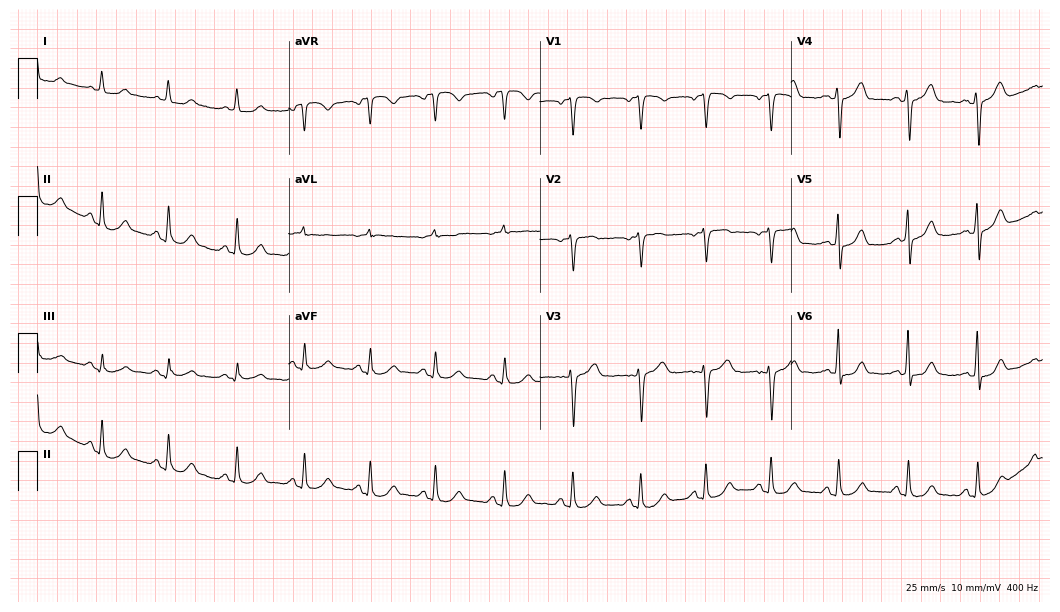
Electrocardiogram (10.2-second recording at 400 Hz), a female patient, 32 years old. Overall reading on record: normal ECG.